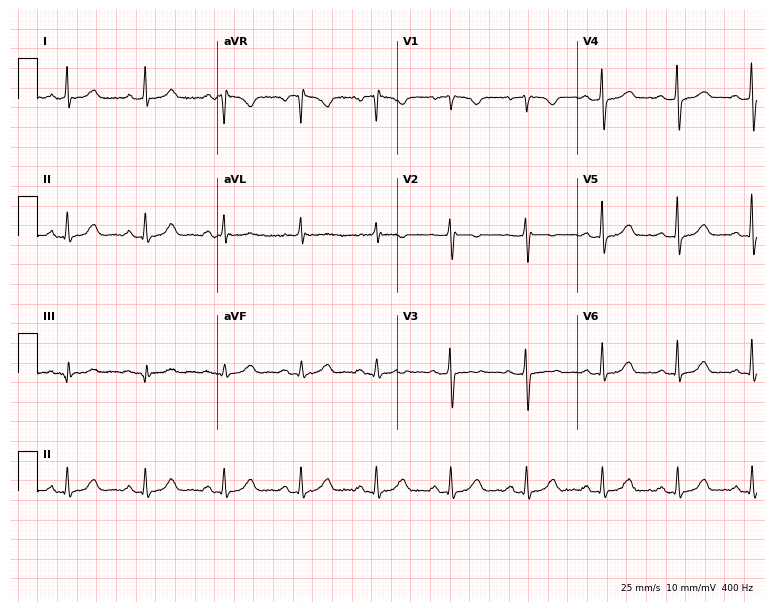
ECG (7.3-second recording at 400 Hz) — a female patient, 55 years old. Labelled as a normal ECG.